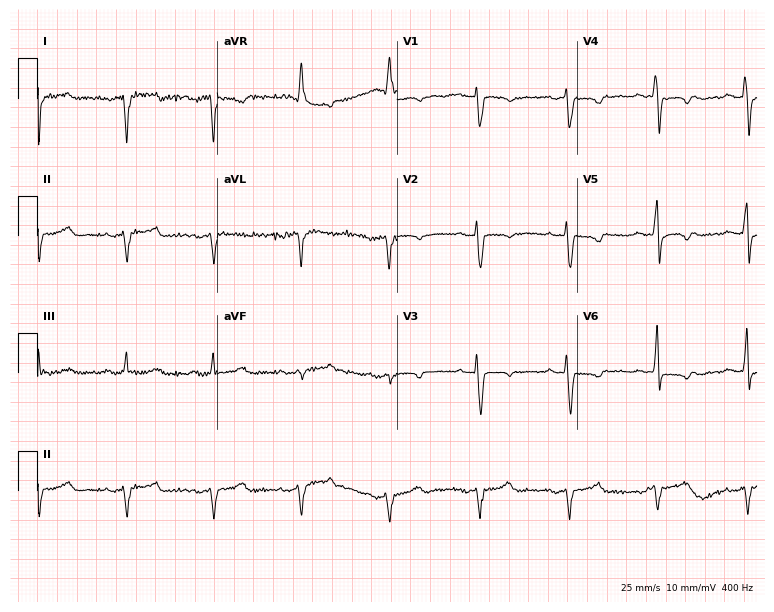
ECG — a female, 57 years old. Screened for six findings — first-degree AV block, right bundle branch block, left bundle branch block, sinus bradycardia, atrial fibrillation, sinus tachycardia — none is recorded. Findings outside these six are not listed.